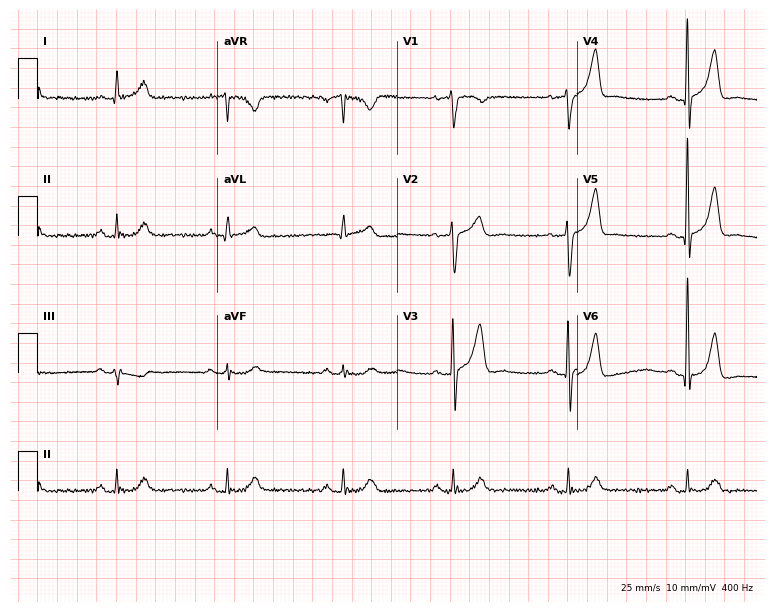
12-lead ECG (7.3-second recording at 400 Hz) from a 44-year-old woman. Screened for six findings — first-degree AV block, right bundle branch block (RBBB), left bundle branch block (LBBB), sinus bradycardia, atrial fibrillation (AF), sinus tachycardia — none is recorded.